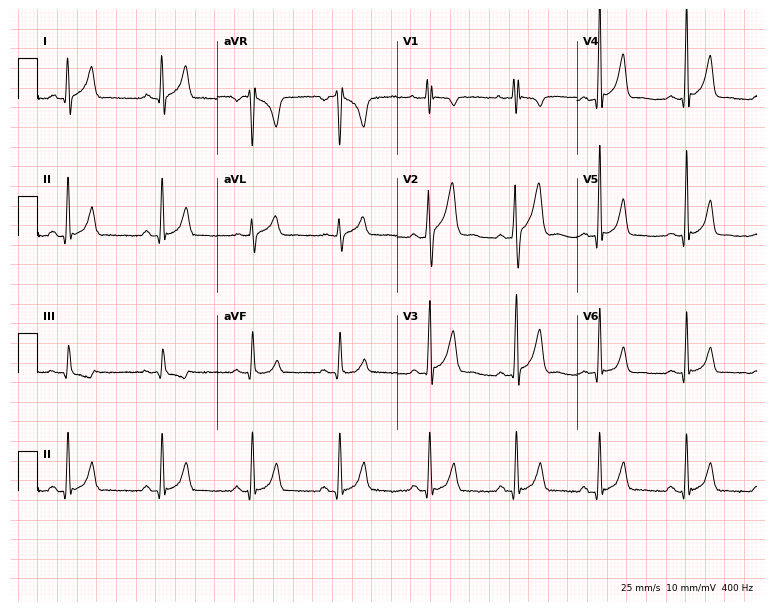
Resting 12-lead electrocardiogram (7.3-second recording at 400 Hz). Patient: a 28-year-old man. None of these six findings is recorded: first-degree AV block, right bundle branch block (RBBB), left bundle branch block (LBBB), sinus bradycardia, atrial fibrillation (AF), sinus tachycardia.